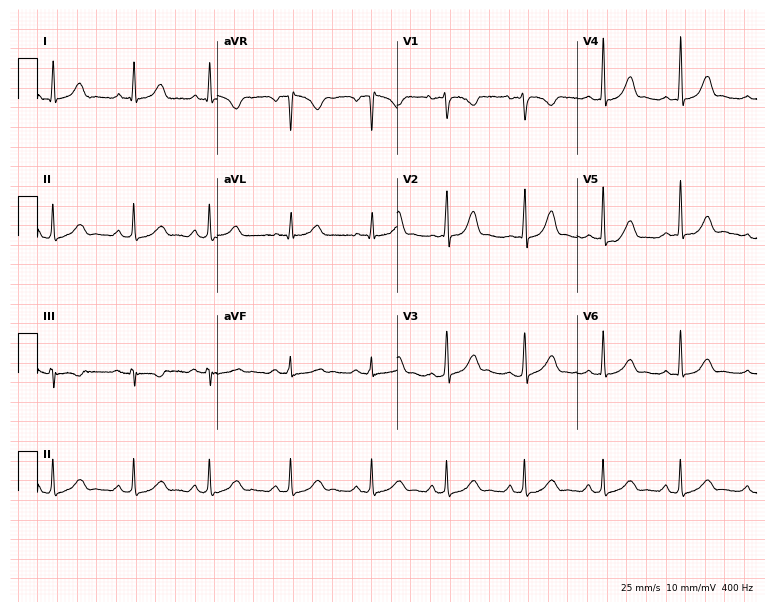
Resting 12-lead electrocardiogram (7.3-second recording at 400 Hz). Patient: a 36-year-old female. Read as a normal ECG.